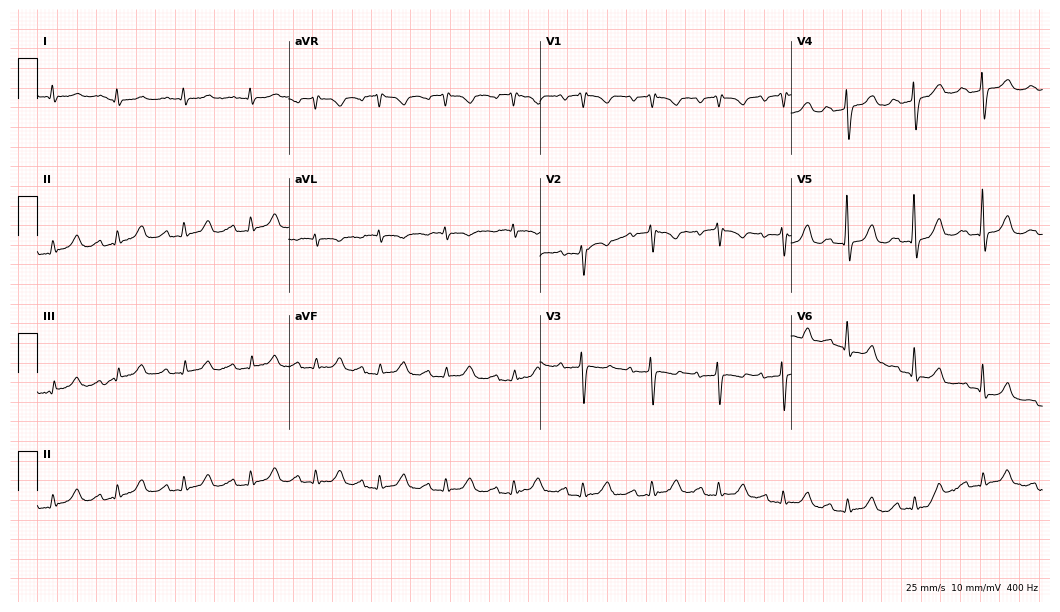
Standard 12-lead ECG recorded from a woman, 85 years old. None of these six findings is recorded: first-degree AV block, right bundle branch block (RBBB), left bundle branch block (LBBB), sinus bradycardia, atrial fibrillation (AF), sinus tachycardia.